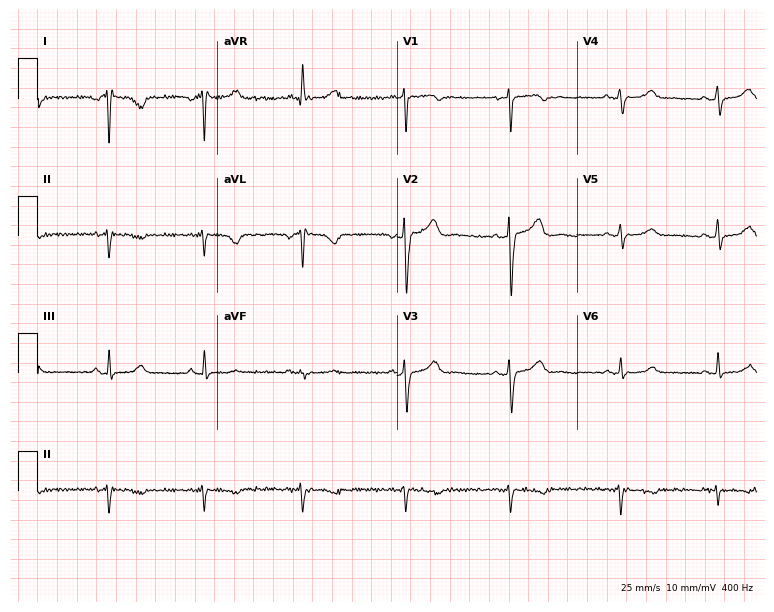
Electrocardiogram (7.3-second recording at 400 Hz), a woman, 37 years old. Of the six screened findings (first-degree AV block, right bundle branch block (RBBB), left bundle branch block (LBBB), sinus bradycardia, atrial fibrillation (AF), sinus tachycardia), none is recorded.